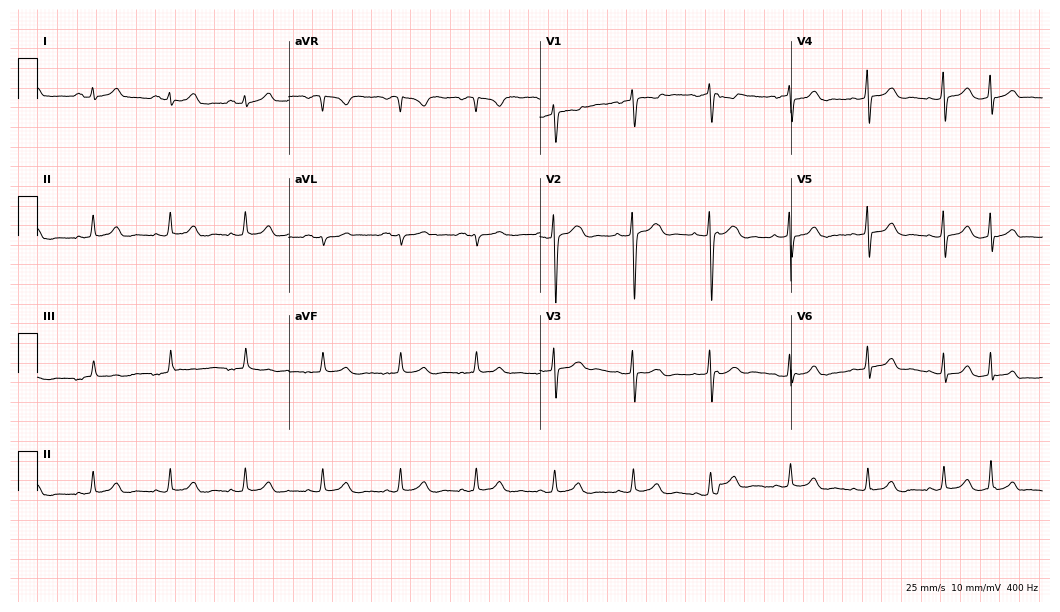
ECG — a female, 26 years old. Labelled as a normal ECG.